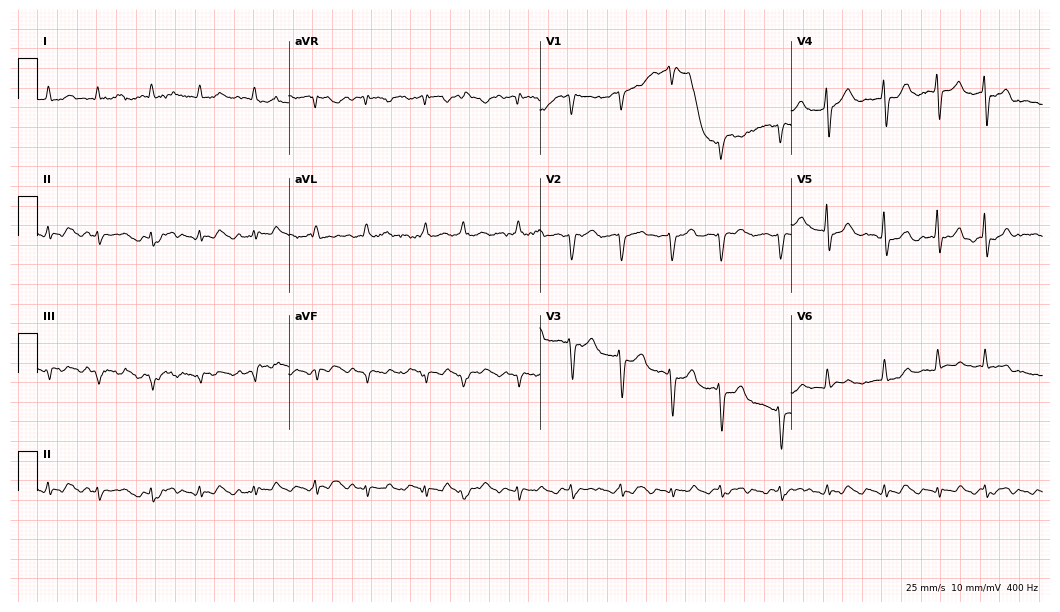
Electrocardiogram (10.2-second recording at 400 Hz), a 71-year-old male patient. Of the six screened findings (first-degree AV block, right bundle branch block, left bundle branch block, sinus bradycardia, atrial fibrillation, sinus tachycardia), none is recorded.